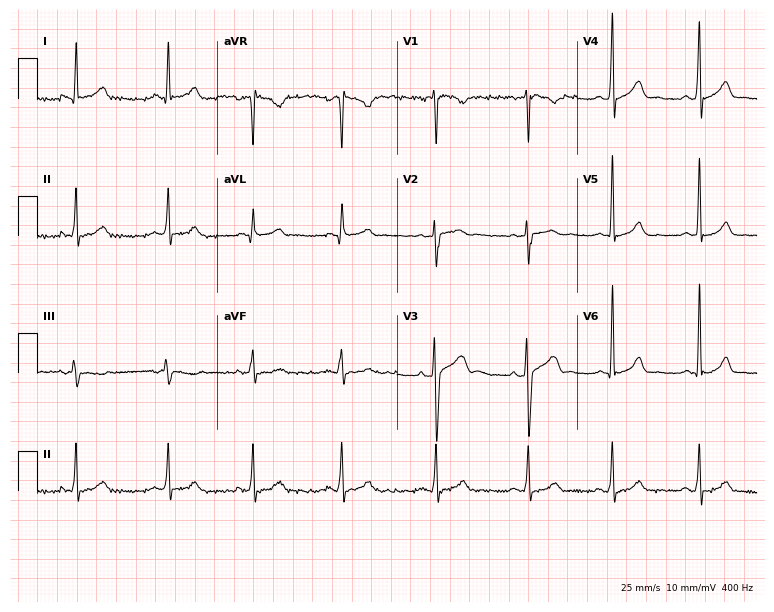
Resting 12-lead electrocardiogram. Patient: a 28-year-old male. None of these six findings is recorded: first-degree AV block, right bundle branch block (RBBB), left bundle branch block (LBBB), sinus bradycardia, atrial fibrillation (AF), sinus tachycardia.